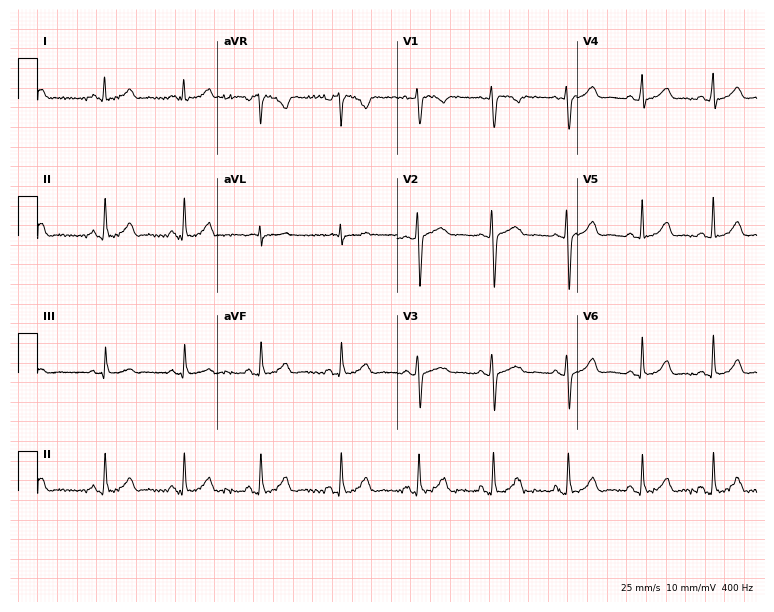
ECG — a 37-year-old female patient. Screened for six findings — first-degree AV block, right bundle branch block (RBBB), left bundle branch block (LBBB), sinus bradycardia, atrial fibrillation (AF), sinus tachycardia — none is recorded.